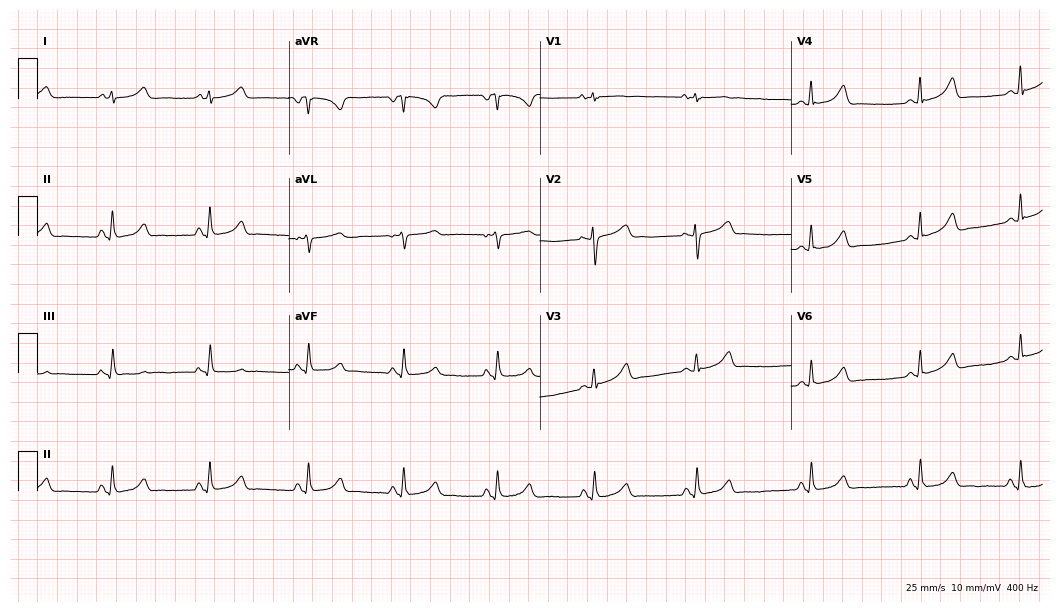
12-lead ECG from a female patient, 37 years old (10.2-second recording at 400 Hz). Recorded interpretation: within normal limits.